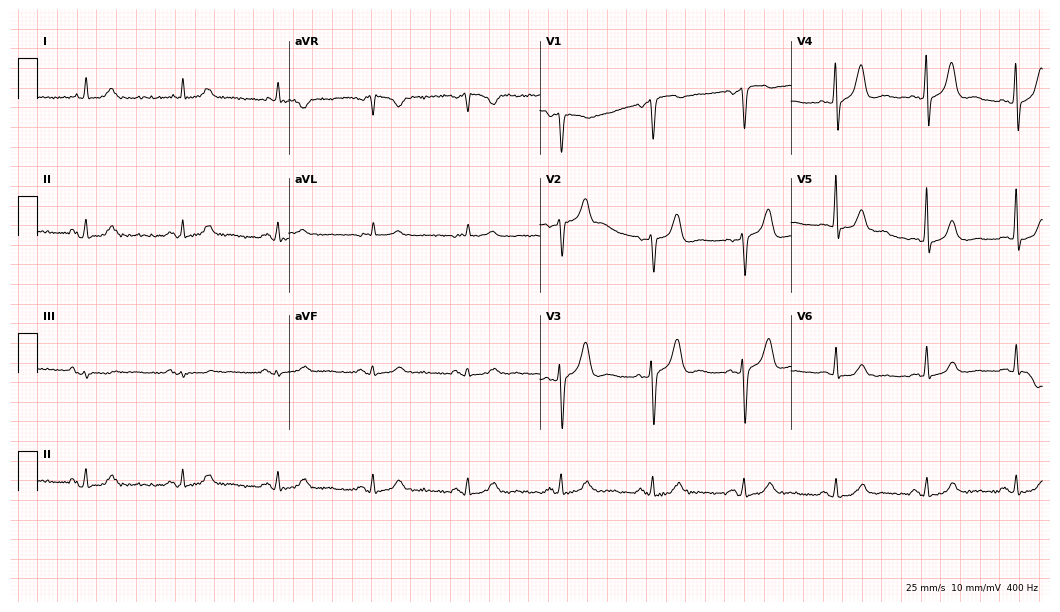
Standard 12-lead ECG recorded from a 69-year-old male patient. None of these six findings is recorded: first-degree AV block, right bundle branch block, left bundle branch block, sinus bradycardia, atrial fibrillation, sinus tachycardia.